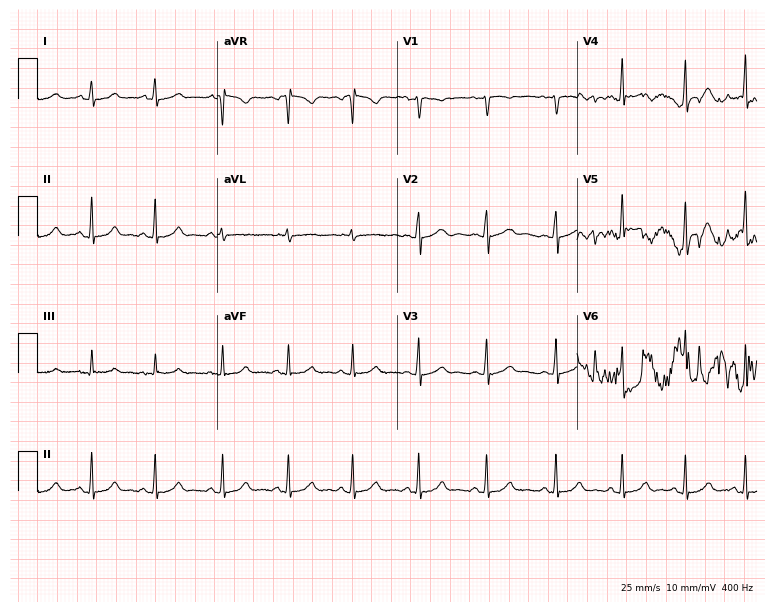
12-lead ECG from a 22-year-old female patient (7.3-second recording at 400 Hz). Recorded interpretation: within normal limits.